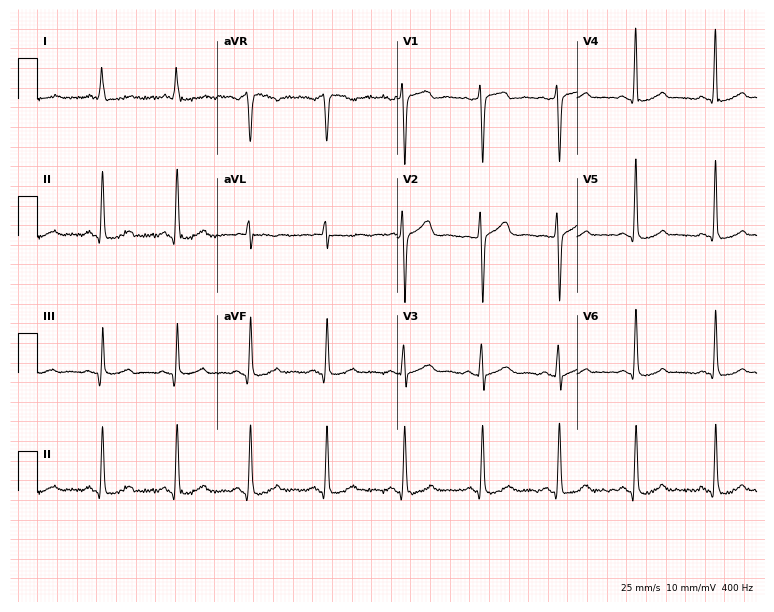
Resting 12-lead electrocardiogram (7.3-second recording at 400 Hz). Patient: a female, 47 years old. None of these six findings is recorded: first-degree AV block, right bundle branch block, left bundle branch block, sinus bradycardia, atrial fibrillation, sinus tachycardia. Other findings, if any, are not listed.